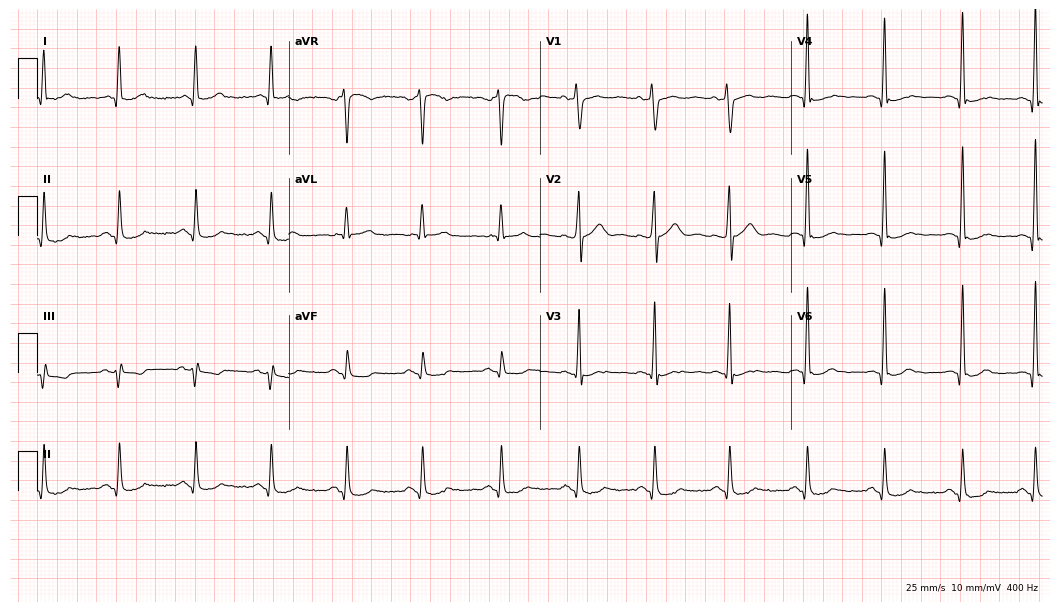
ECG — a 50-year-old male. Screened for six findings — first-degree AV block, right bundle branch block, left bundle branch block, sinus bradycardia, atrial fibrillation, sinus tachycardia — none is recorded. Only these six findings were labelled.